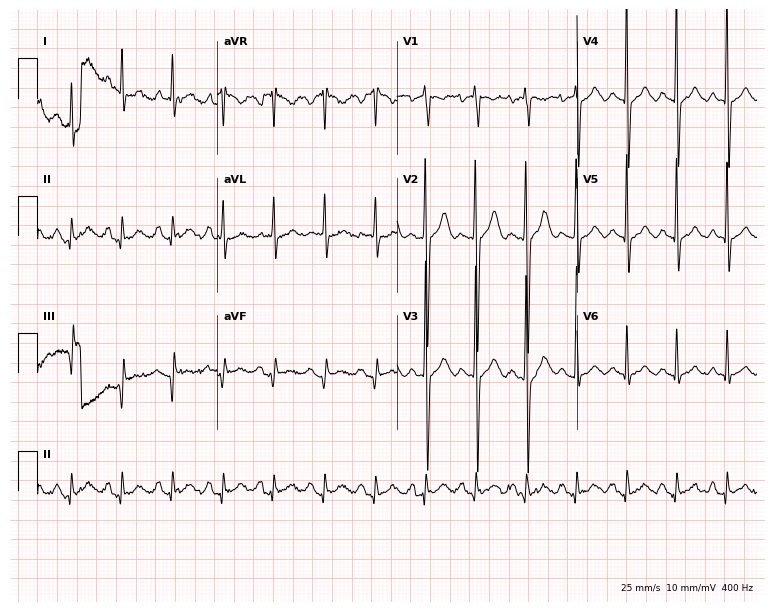
12-lead ECG (7.3-second recording at 400 Hz) from a man, 27 years old. Findings include sinus tachycardia (a sinus rate of 100 beats per minute or more).